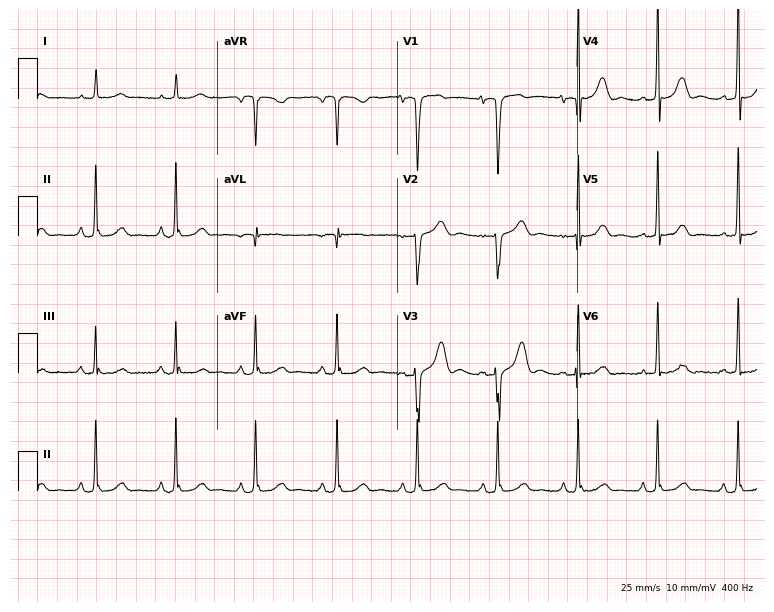
ECG (7.3-second recording at 400 Hz) — a female patient, 80 years old. Screened for six findings — first-degree AV block, right bundle branch block, left bundle branch block, sinus bradycardia, atrial fibrillation, sinus tachycardia — none is recorded.